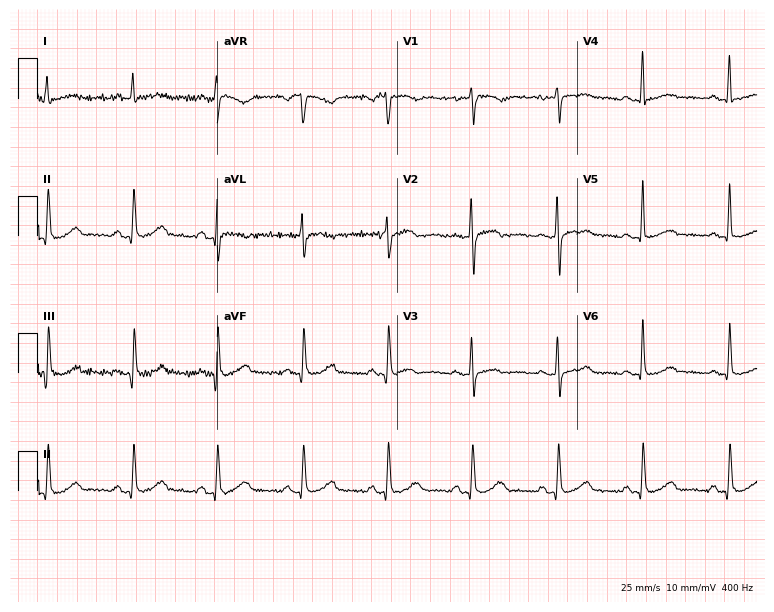
Electrocardiogram, a female patient, 50 years old. Overall reading on record: normal ECG.